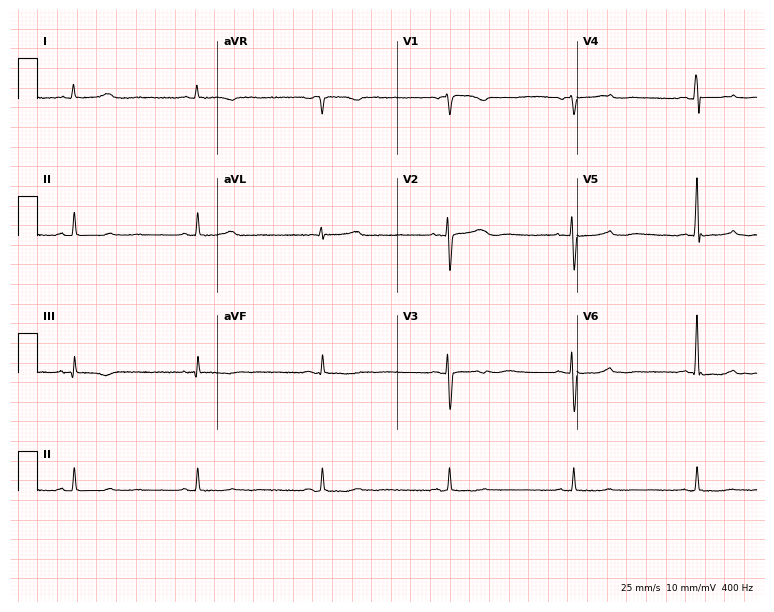
12-lead ECG from a female, 52 years old. Findings include sinus bradycardia (a sinus rate of 50 beats per minute or less).